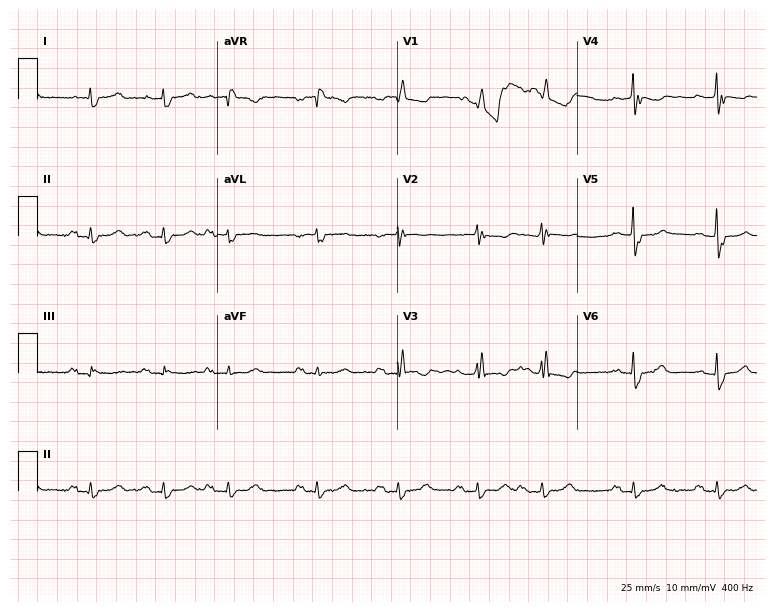
12-lead ECG (7.3-second recording at 400 Hz) from an 82-year-old male patient. Screened for six findings — first-degree AV block, right bundle branch block, left bundle branch block, sinus bradycardia, atrial fibrillation, sinus tachycardia — none is recorded. Only these six findings were labelled.